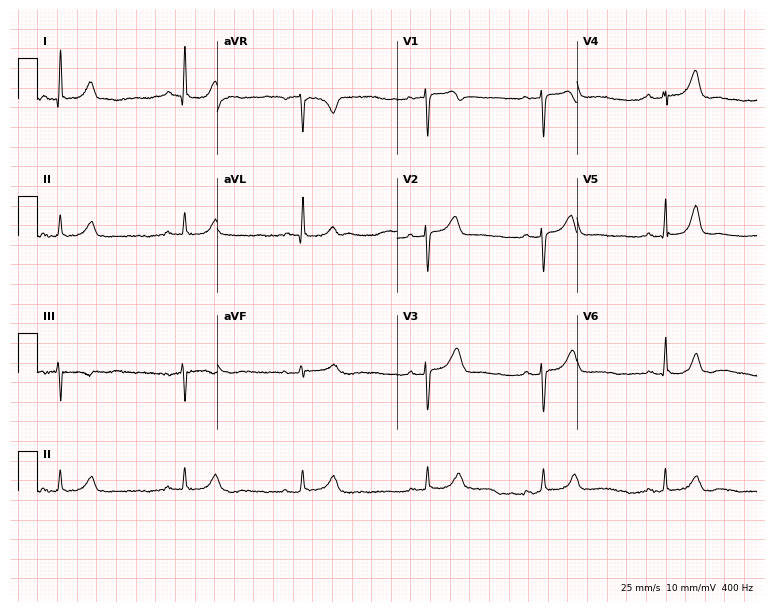
Electrocardiogram (7.3-second recording at 400 Hz), a 50-year-old female. Overall reading on record: normal ECG.